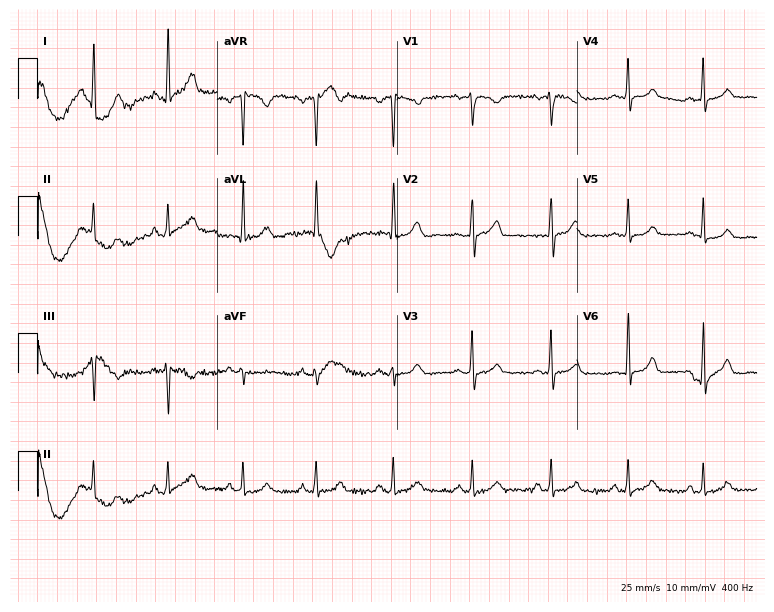
Electrocardiogram (7.3-second recording at 400 Hz), a woman, 46 years old. Overall reading on record: normal ECG.